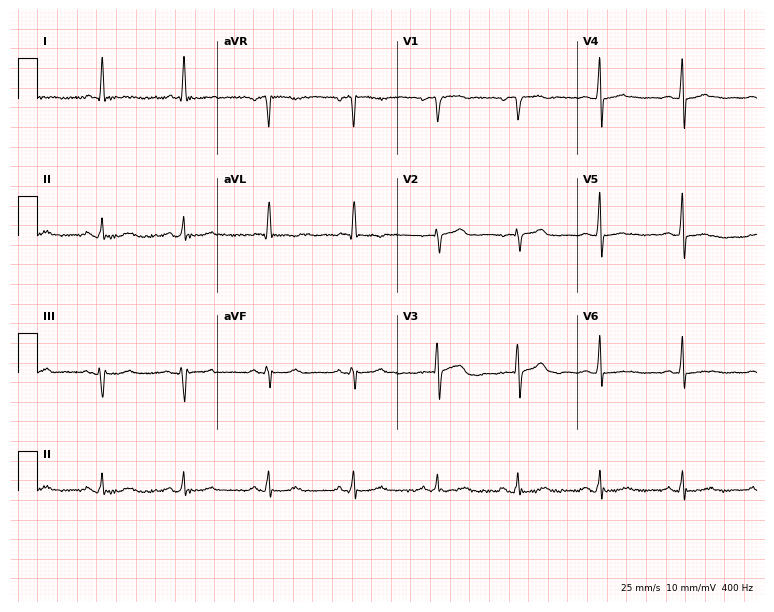
Resting 12-lead electrocardiogram. Patient: a female, 67 years old. None of these six findings is recorded: first-degree AV block, right bundle branch block, left bundle branch block, sinus bradycardia, atrial fibrillation, sinus tachycardia. Only these six findings were labelled.